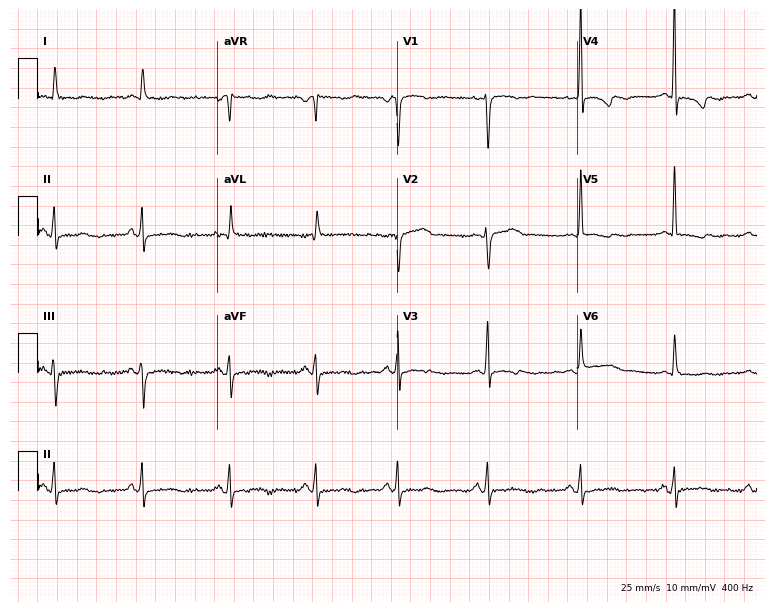
Resting 12-lead electrocardiogram. Patient: a woman, 66 years old. None of these six findings is recorded: first-degree AV block, right bundle branch block (RBBB), left bundle branch block (LBBB), sinus bradycardia, atrial fibrillation (AF), sinus tachycardia.